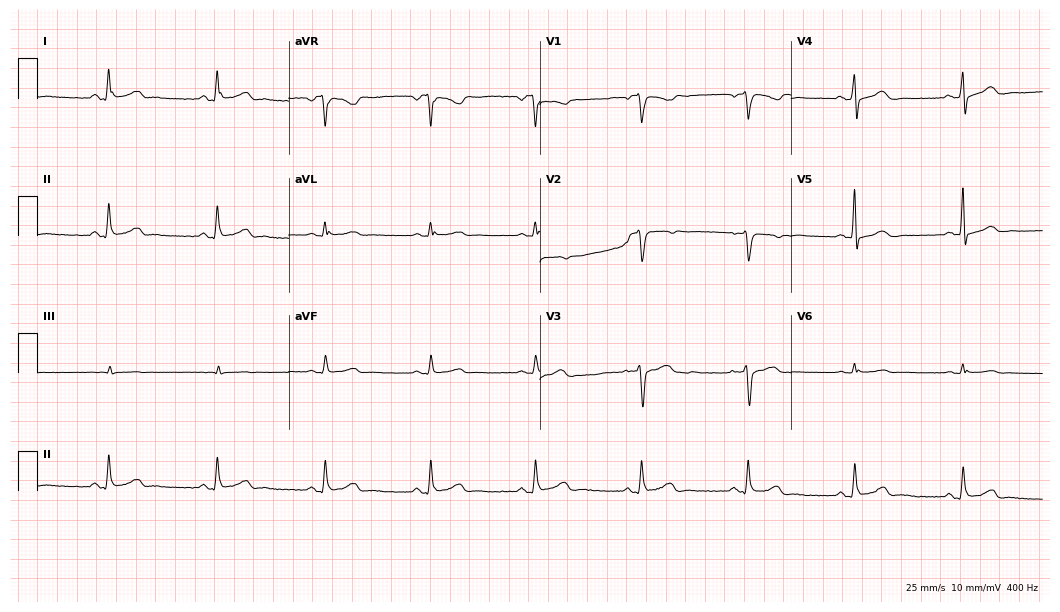
12-lead ECG from a male, 47 years old. No first-degree AV block, right bundle branch block, left bundle branch block, sinus bradycardia, atrial fibrillation or sinus tachycardia recorded for this tracing. Other findings, if any, are not listed.